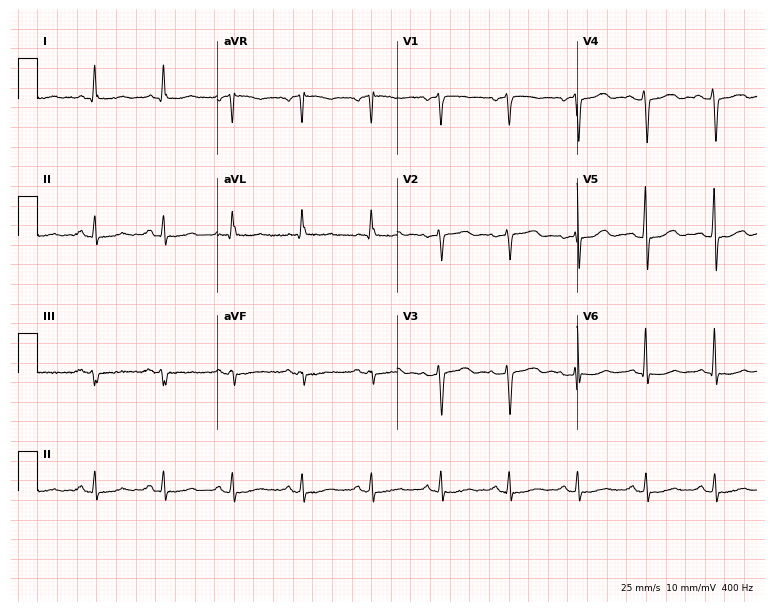
12-lead ECG from a 73-year-old man. Recorded interpretation: within normal limits.